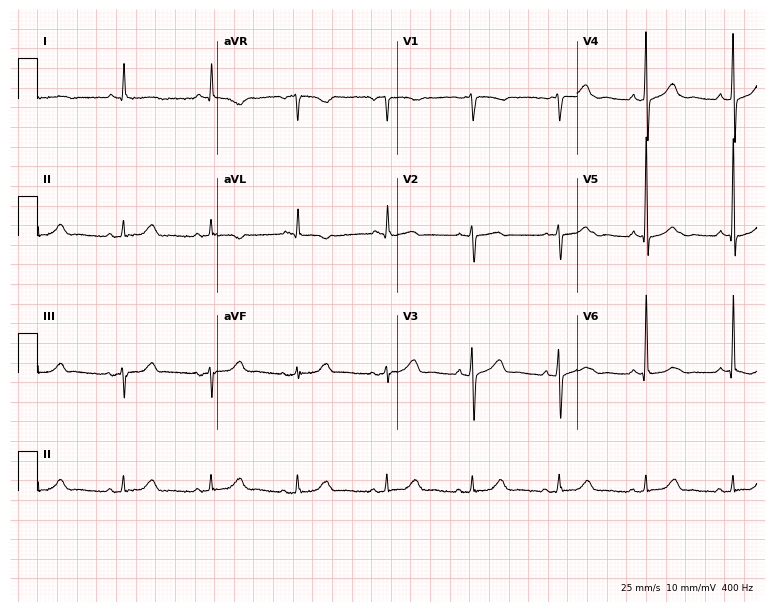
12-lead ECG from an 85-year-old female. No first-degree AV block, right bundle branch block, left bundle branch block, sinus bradycardia, atrial fibrillation or sinus tachycardia recorded for this tracing. Only these six findings were labelled.